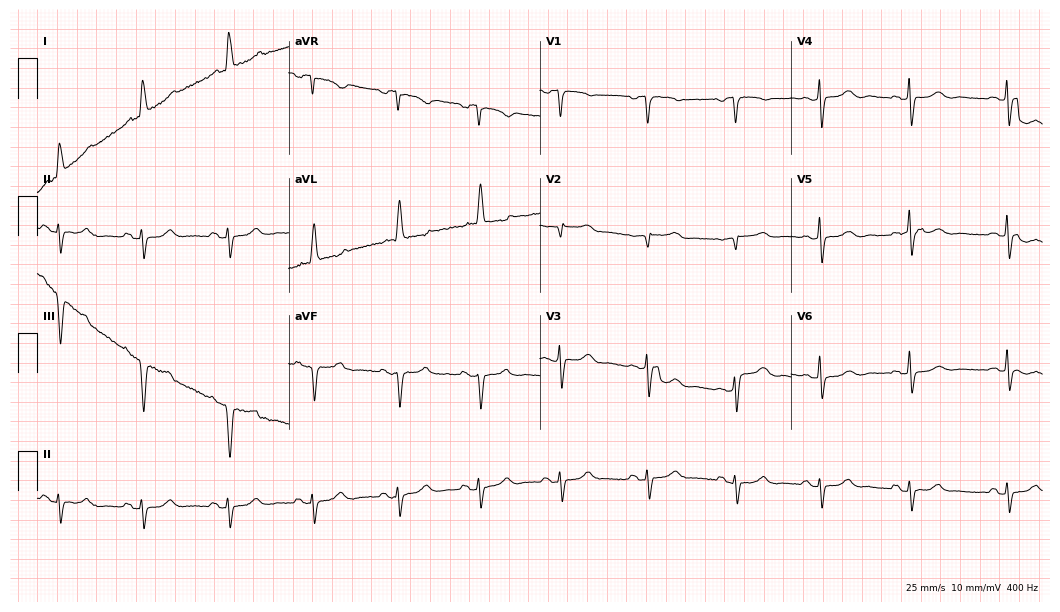
12-lead ECG (10.2-second recording at 400 Hz) from a female, 71 years old. Screened for six findings — first-degree AV block, right bundle branch block, left bundle branch block, sinus bradycardia, atrial fibrillation, sinus tachycardia — none is recorded.